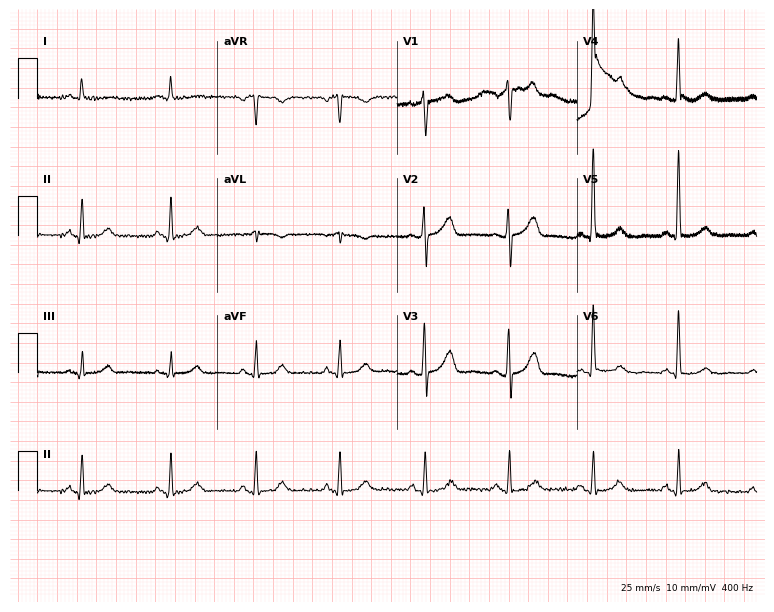
Electrocardiogram, a male, 66 years old. Of the six screened findings (first-degree AV block, right bundle branch block (RBBB), left bundle branch block (LBBB), sinus bradycardia, atrial fibrillation (AF), sinus tachycardia), none is recorded.